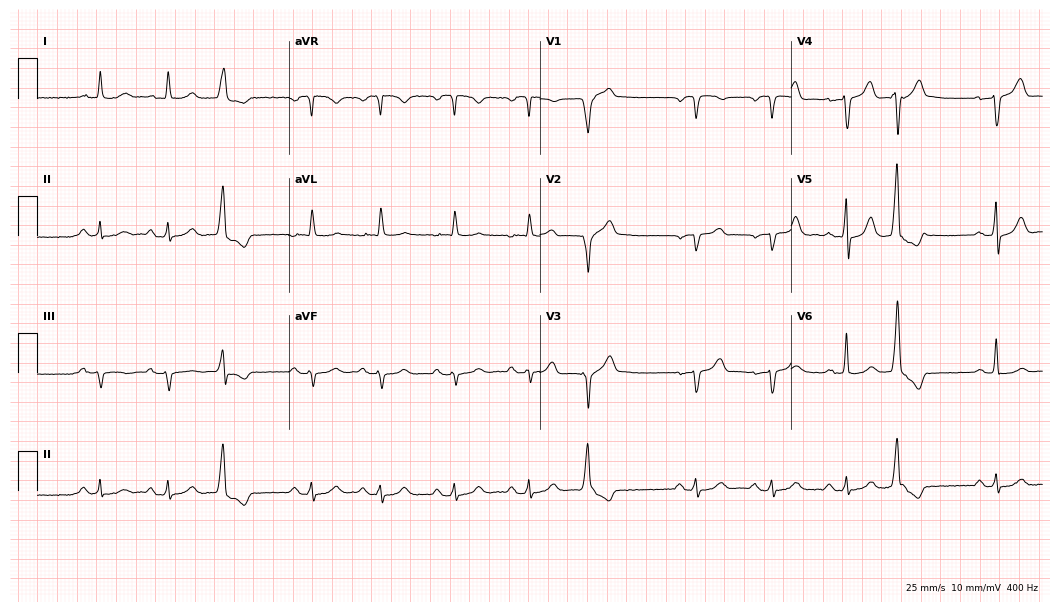
Resting 12-lead electrocardiogram (10.2-second recording at 400 Hz). Patient: a male, 81 years old. Read as a normal ECG.